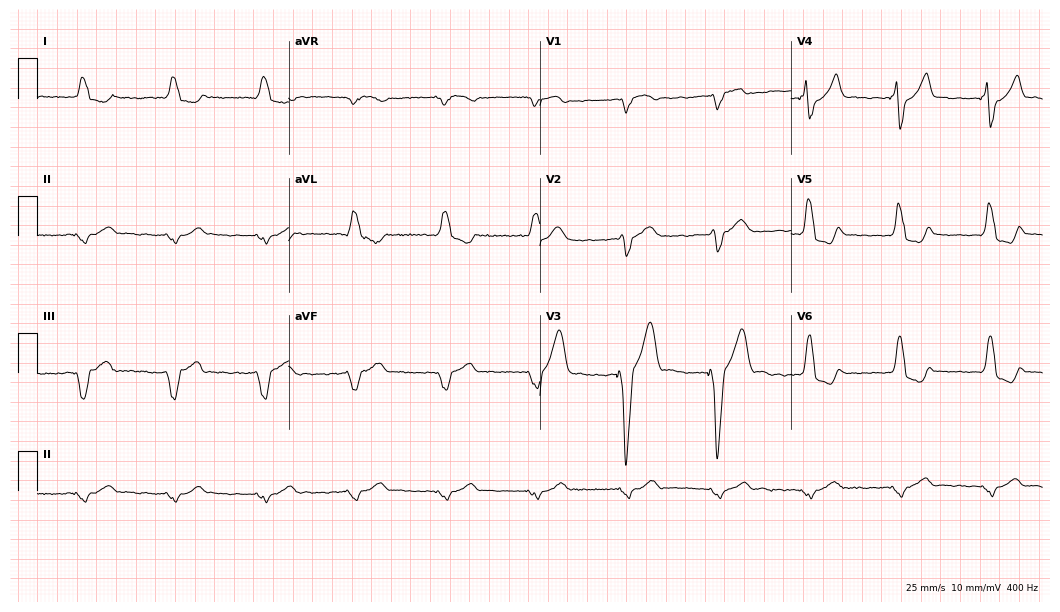
Electrocardiogram (10.2-second recording at 400 Hz), a male, 78 years old. Interpretation includes left bundle branch block (LBBB).